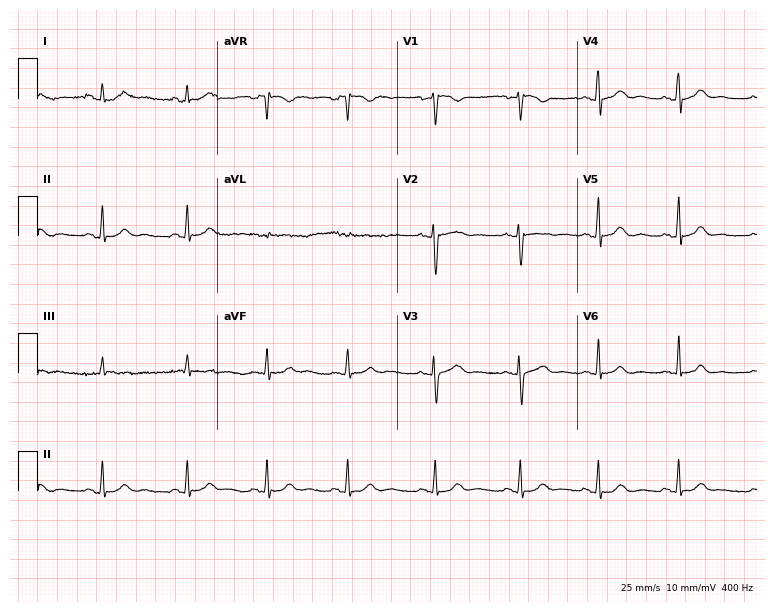
Resting 12-lead electrocardiogram (7.3-second recording at 400 Hz). Patient: a female, 17 years old. Read as a normal ECG.